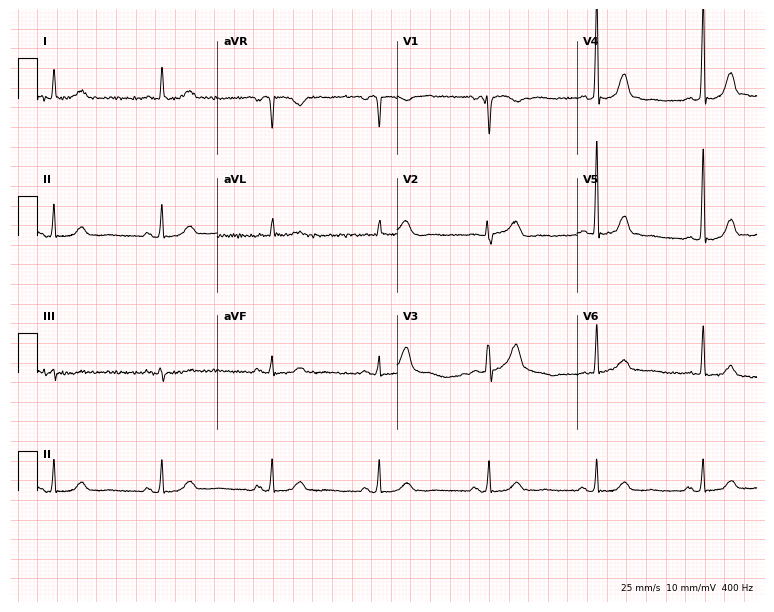
12-lead ECG (7.3-second recording at 400 Hz) from a female, 77 years old. Screened for six findings — first-degree AV block, right bundle branch block, left bundle branch block, sinus bradycardia, atrial fibrillation, sinus tachycardia — none is recorded. Only these six findings were labelled.